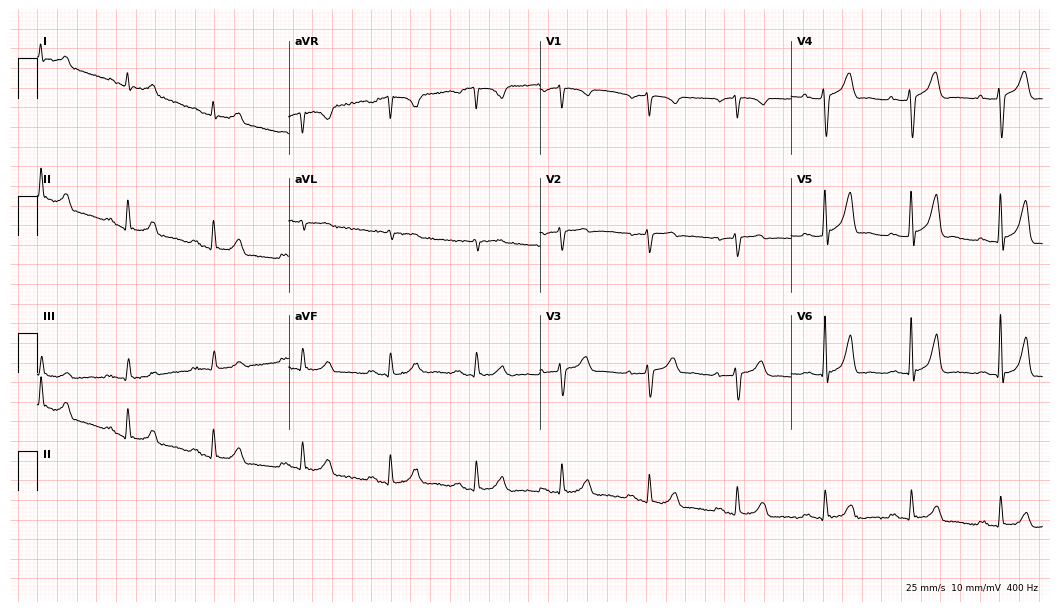
12-lead ECG from a 65-year-old male patient (10.2-second recording at 400 Hz). No first-degree AV block, right bundle branch block, left bundle branch block, sinus bradycardia, atrial fibrillation or sinus tachycardia recorded for this tracing.